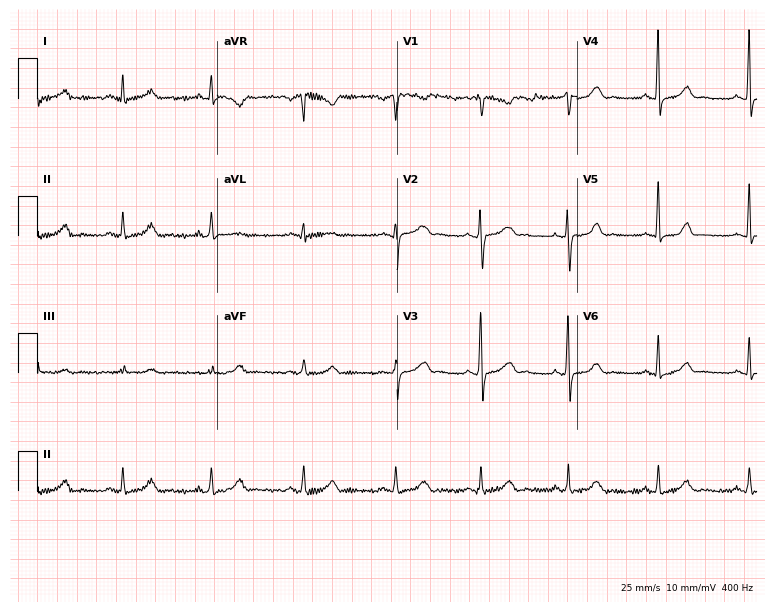
12-lead ECG from a female, 32 years old (7.3-second recording at 400 Hz). Recorded interpretation: within normal limits.